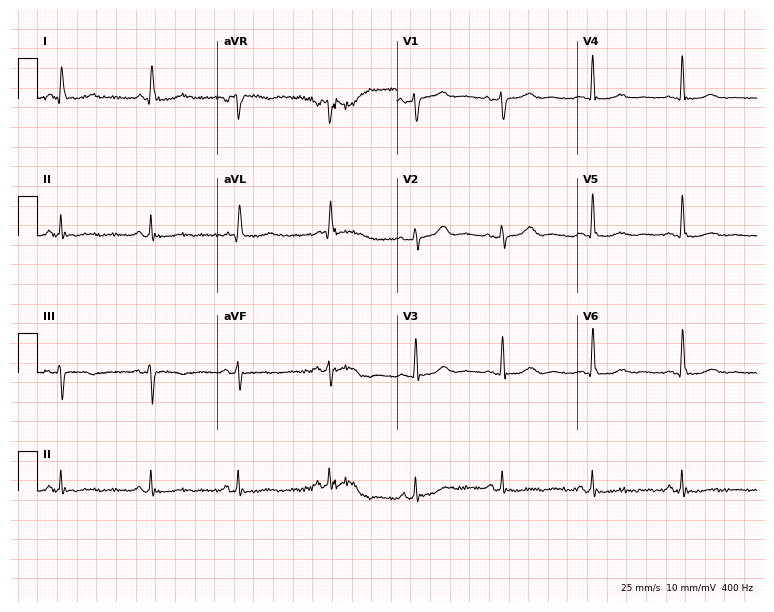
Electrocardiogram, a female patient, 68 years old. Of the six screened findings (first-degree AV block, right bundle branch block, left bundle branch block, sinus bradycardia, atrial fibrillation, sinus tachycardia), none is recorded.